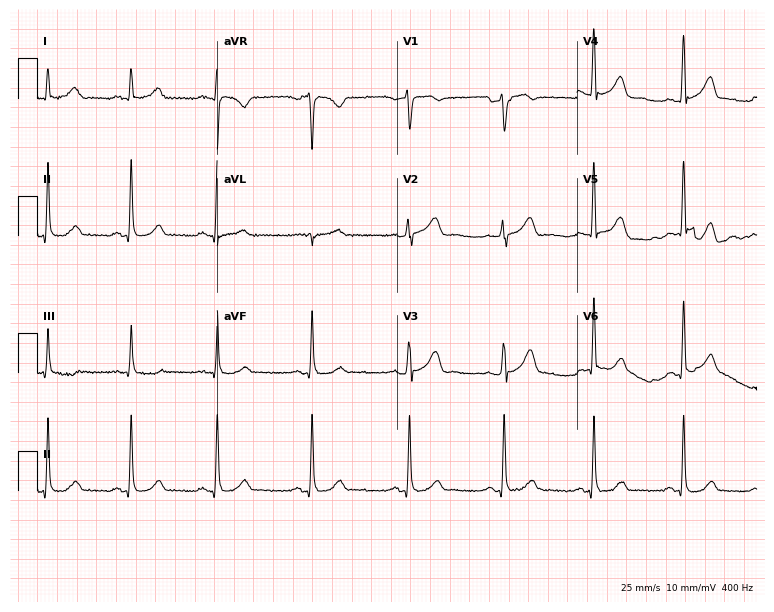
Standard 12-lead ECG recorded from a female patient, 44 years old (7.3-second recording at 400 Hz). None of these six findings is recorded: first-degree AV block, right bundle branch block, left bundle branch block, sinus bradycardia, atrial fibrillation, sinus tachycardia. Only these six findings were labelled.